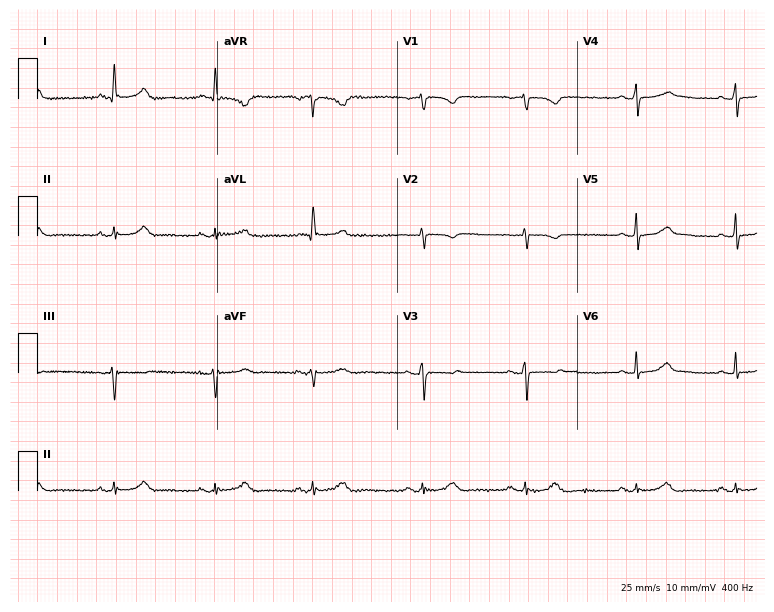
Electrocardiogram, a female patient, 49 years old. Overall reading on record: normal ECG.